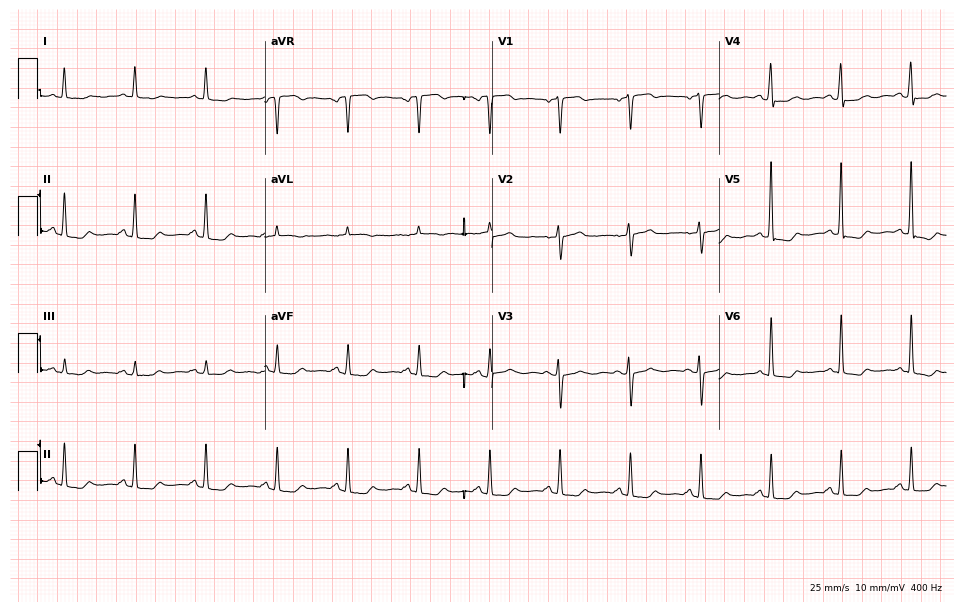
Standard 12-lead ECG recorded from a female, 74 years old (9.3-second recording at 400 Hz). None of these six findings is recorded: first-degree AV block, right bundle branch block, left bundle branch block, sinus bradycardia, atrial fibrillation, sinus tachycardia.